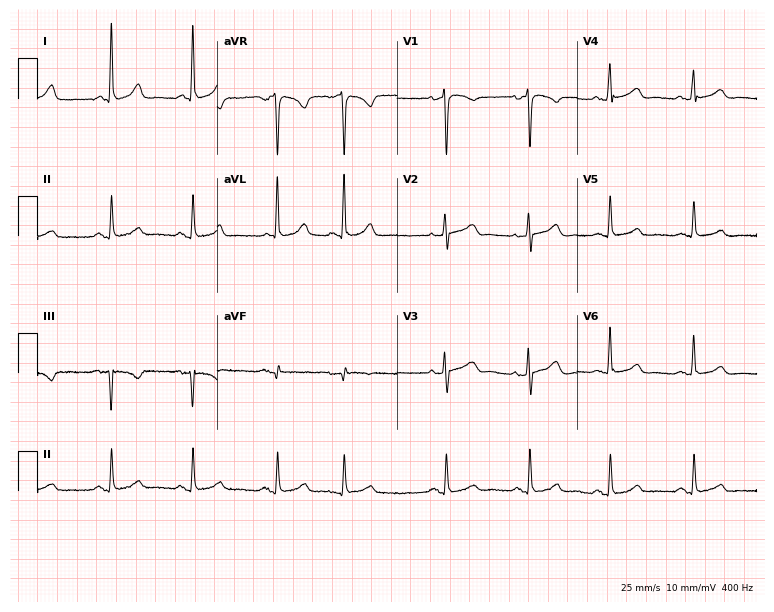
Resting 12-lead electrocardiogram. Patient: a female, 82 years old. None of these six findings is recorded: first-degree AV block, right bundle branch block, left bundle branch block, sinus bradycardia, atrial fibrillation, sinus tachycardia. Findings outside these six are not listed.